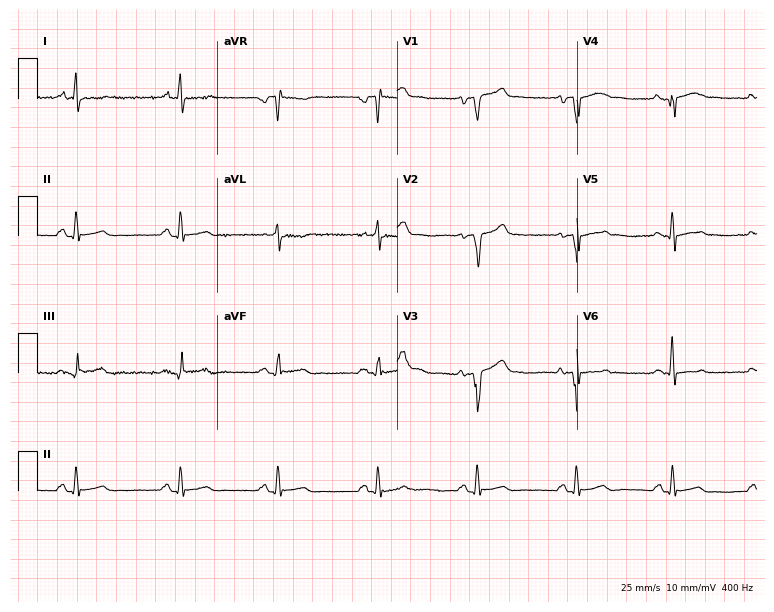
Resting 12-lead electrocardiogram. Patient: a 54-year-old male. None of these six findings is recorded: first-degree AV block, right bundle branch block, left bundle branch block, sinus bradycardia, atrial fibrillation, sinus tachycardia. Findings outside these six are not listed.